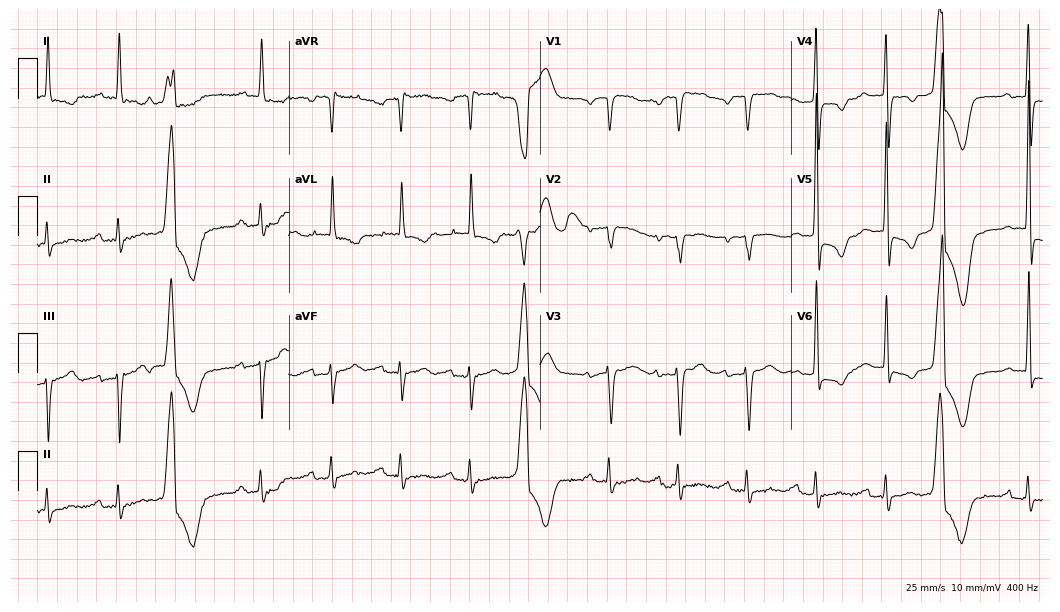
Standard 12-lead ECG recorded from an 85-year-old male. None of these six findings is recorded: first-degree AV block, right bundle branch block (RBBB), left bundle branch block (LBBB), sinus bradycardia, atrial fibrillation (AF), sinus tachycardia.